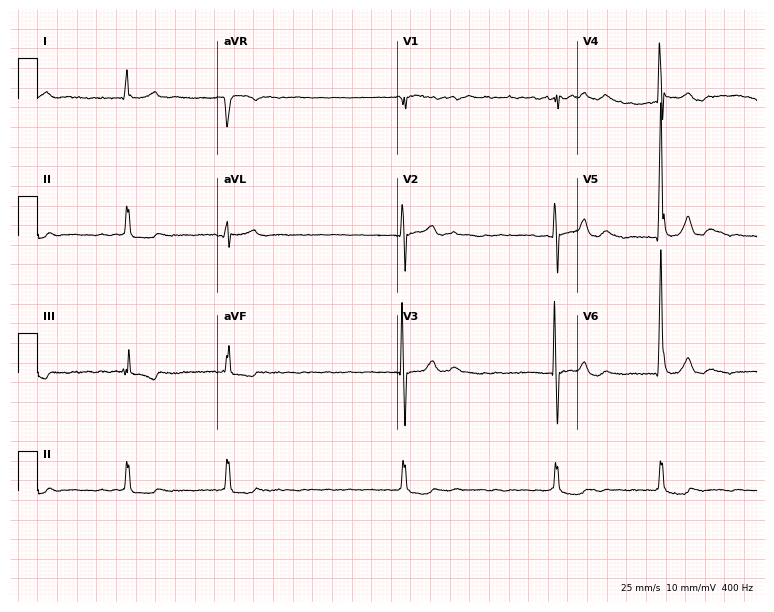
Standard 12-lead ECG recorded from a man, 81 years old. The tracing shows atrial fibrillation.